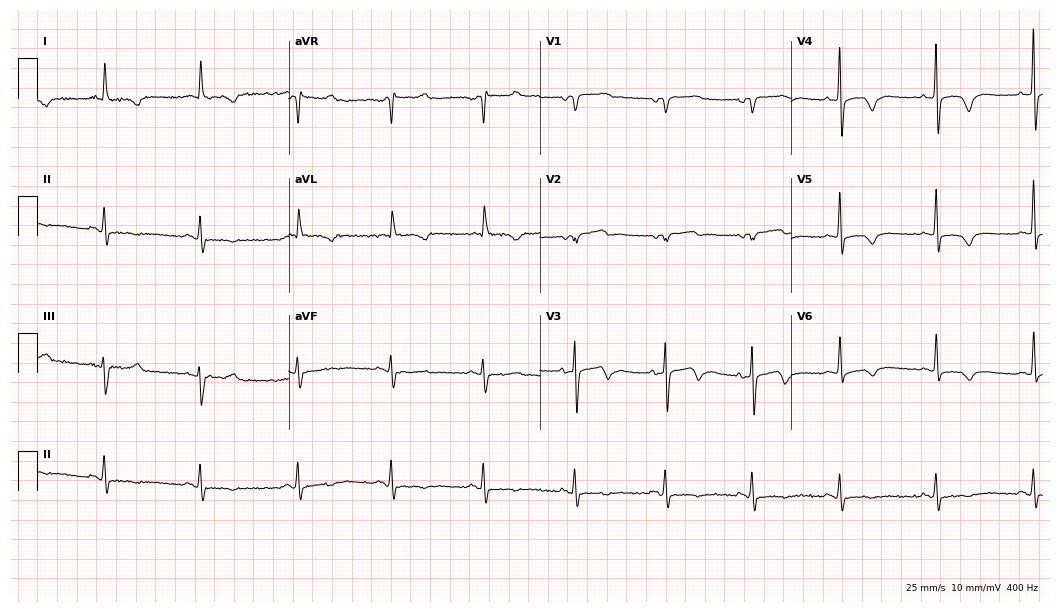
Standard 12-lead ECG recorded from a 74-year-old woman (10.2-second recording at 400 Hz). None of these six findings is recorded: first-degree AV block, right bundle branch block, left bundle branch block, sinus bradycardia, atrial fibrillation, sinus tachycardia. Other findings, if any, are not listed.